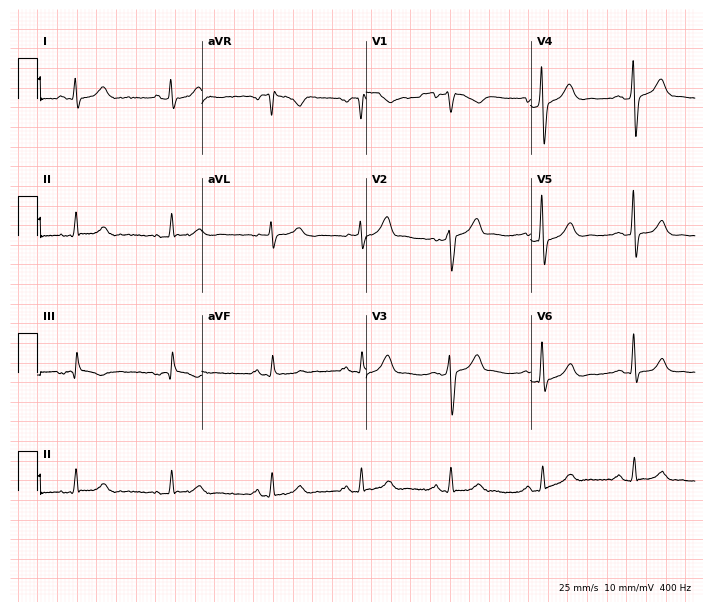
Electrocardiogram (6.7-second recording at 400 Hz), a man, 45 years old. Of the six screened findings (first-degree AV block, right bundle branch block, left bundle branch block, sinus bradycardia, atrial fibrillation, sinus tachycardia), none is recorded.